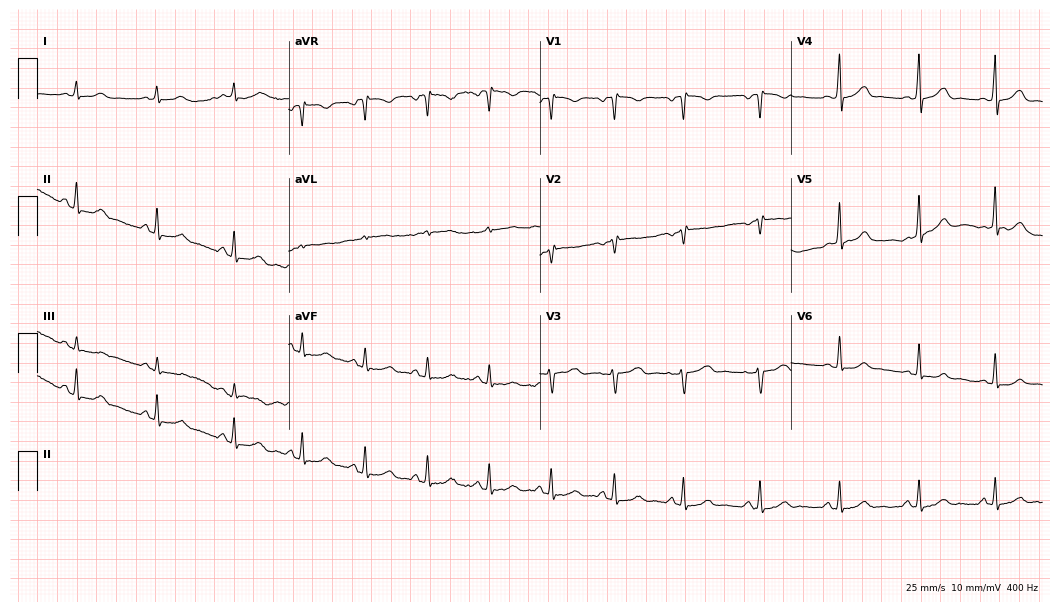
12-lead ECG (10.2-second recording at 400 Hz) from a female patient, 19 years old. Labelled as a normal ECG.